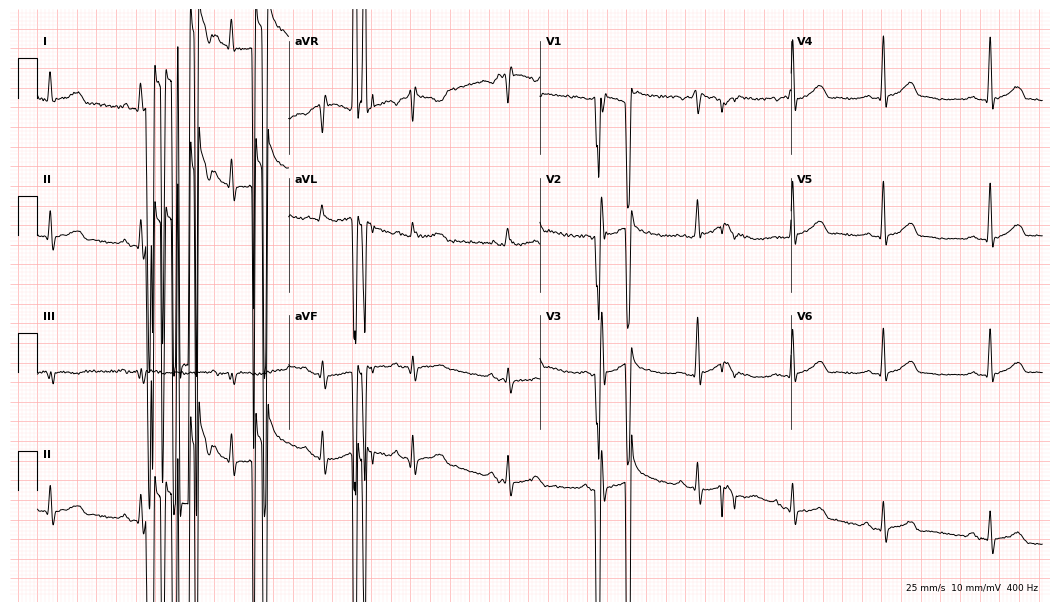
12-lead ECG (10.2-second recording at 400 Hz) from a man, 57 years old. Screened for six findings — first-degree AV block, right bundle branch block, left bundle branch block, sinus bradycardia, atrial fibrillation, sinus tachycardia — none is recorded.